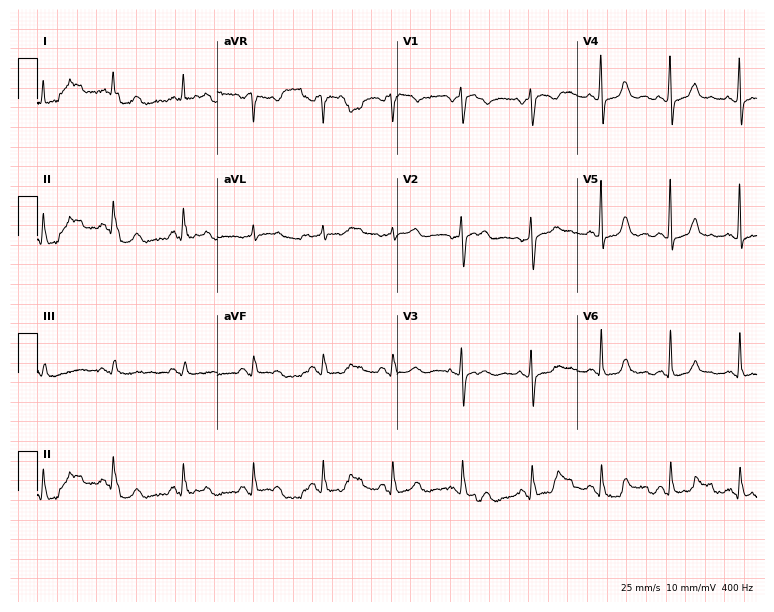
Electrocardiogram, a 64-year-old female patient. Overall reading on record: normal ECG.